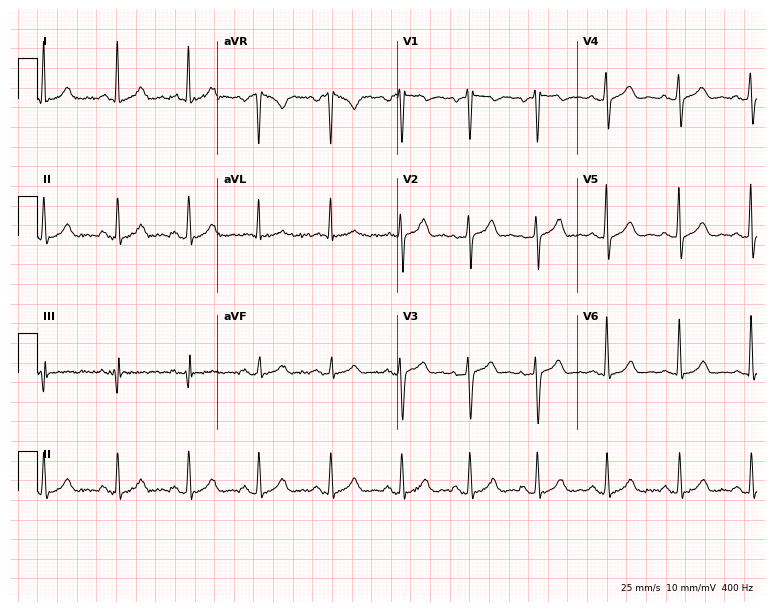
ECG — a man, 33 years old. Labelled as a normal ECG.